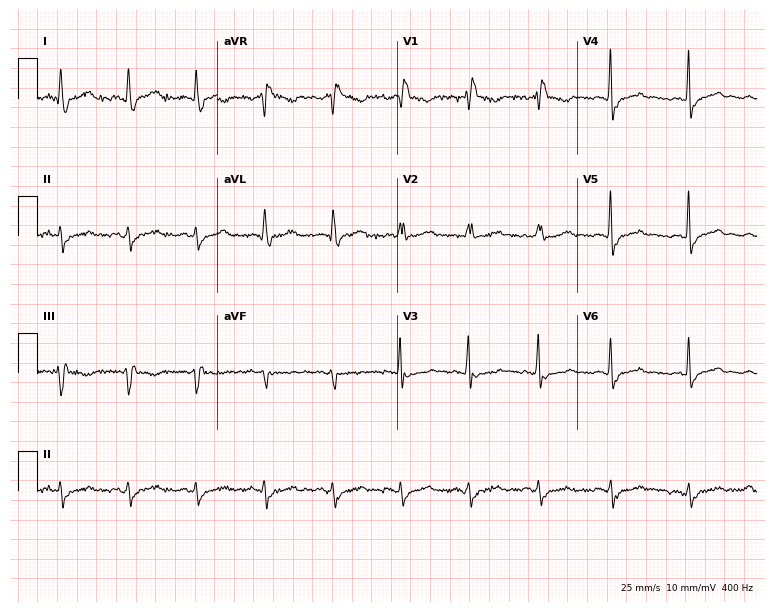
12-lead ECG from a 71-year-old female (7.3-second recording at 400 Hz). No first-degree AV block, right bundle branch block, left bundle branch block, sinus bradycardia, atrial fibrillation or sinus tachycardia recorded for this tracing. Findings outside these six are not listed.